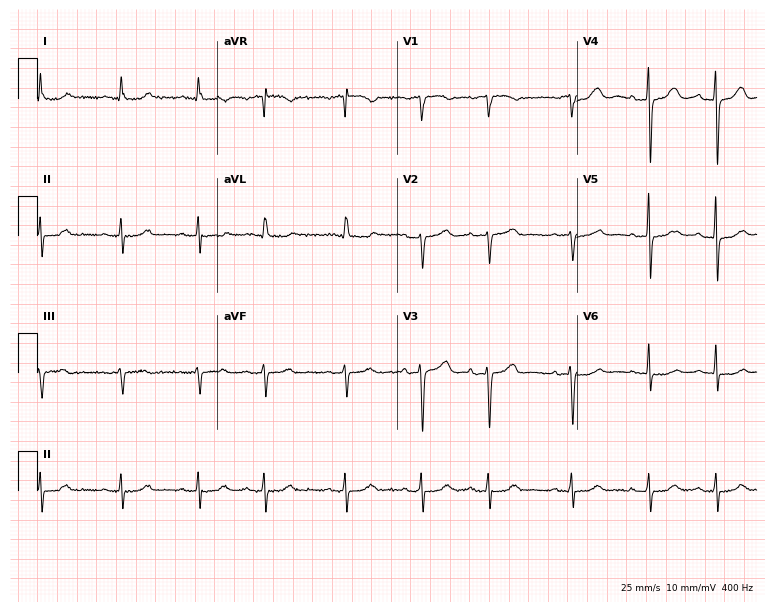
Resting 12-lead electrocardiogram (7.3-second recording at 400 Hz). Patient: a female, 85 years old. Read as a normal ECG.